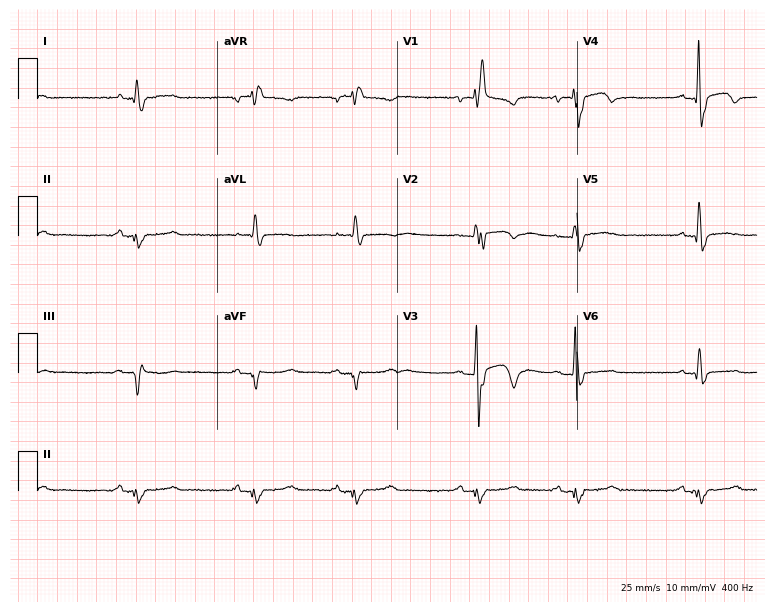
Electrocardiogram (7.3-second recording at 400 Hz), a 64-year-old female. Of the six screened findings (first-degree AV block, right bundle branch block (RBBB), left bundle branch block (LBBB), sinus bradycardia, atrial fibrillation (AF), sinus tachycardia), none is recorded.